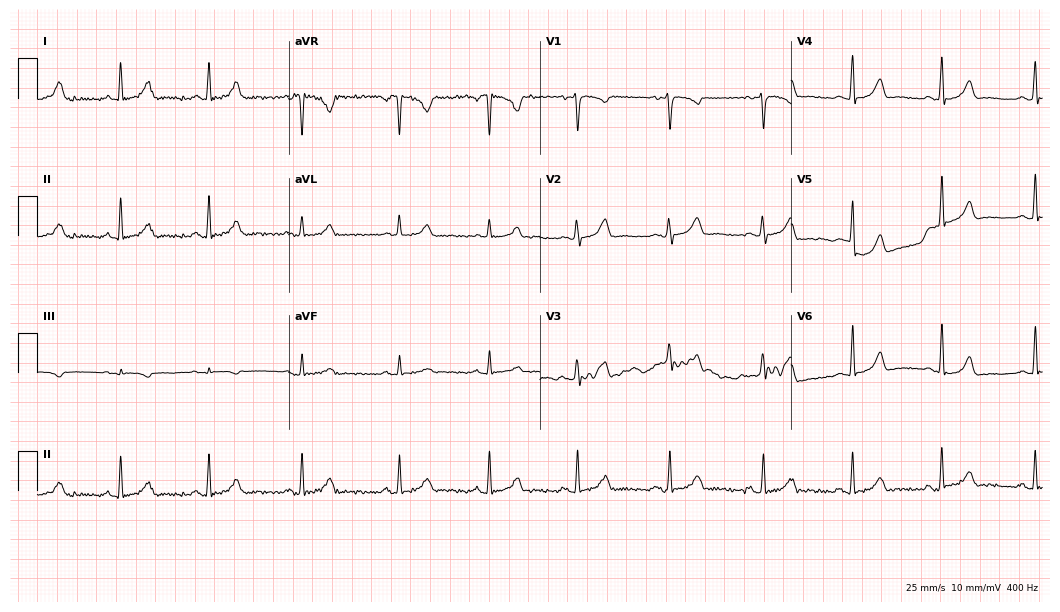
Resting 12-lead electrocardiogram (10.2-second recording at 400 Hz). Patient: a 44-year-old female. Read as a normal ECG.